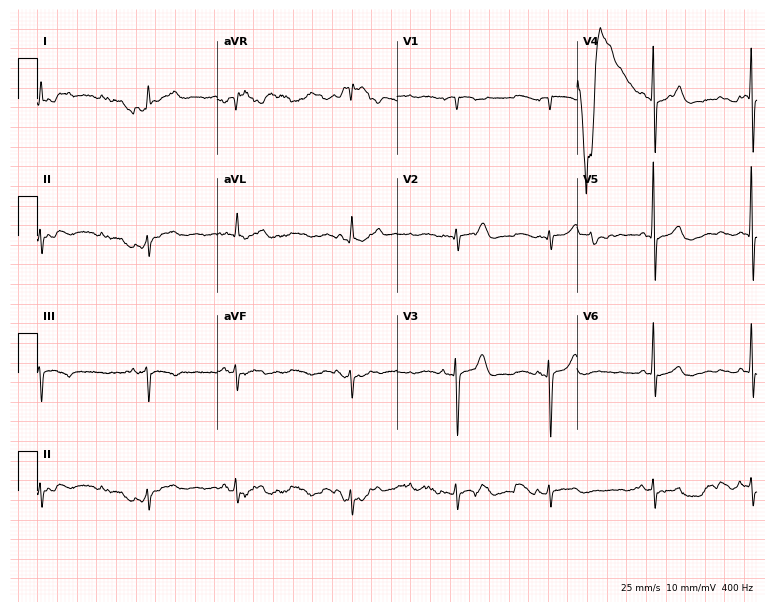
ECG — a 79-year-old male. Screened for six findings — first-degree AV block, right bundle branch block (RBBB), left bundle branch block (LBBB), sinus bradycardia, atrial fibrillation (AF), sinus tachycardia — none is recorded.